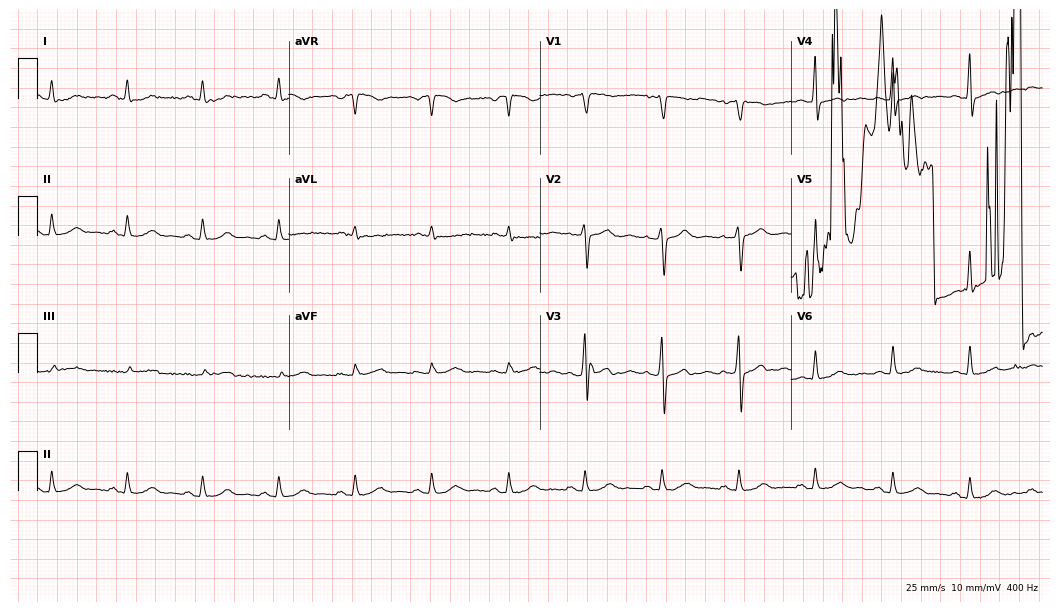
Electrocardiogram (10.2-second recording at 400 Hz), a 52-year-old male patient. Of the six screened findings (first-degree AV block, right bundle branch block (RBBB), left bundle branch block (LBBB), sinus bradycardia, atrial fibrillation (AF), sinus tachycardia), none is recorded. Other findings, if any, are not listed.